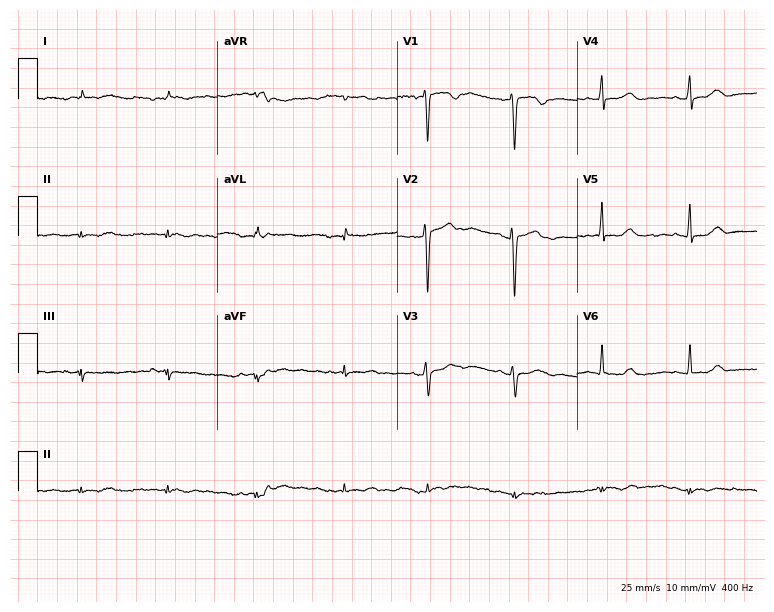
12-lead ECG (7.3-second recording at 400 Hz) from a woman, 57 years old. Screened for six findings — first-degree AV block, right bundle branch block, left bundle branch block, sinus bradycardia, atrial fibrillation, sinus tachycardia — none is recorded.